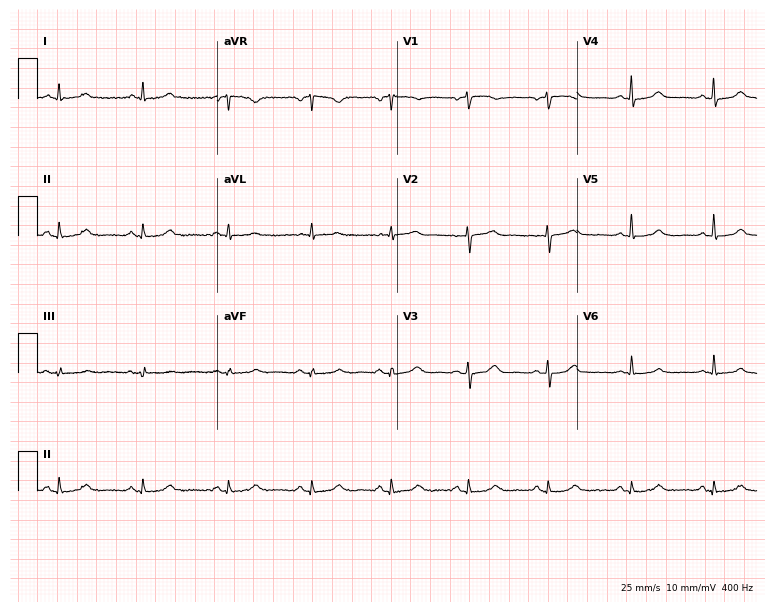
ECG — a 46-year-old female patient. Screened for six findings — first-degree AV block, right bundle branch block, left bundle branch block, sinus bradycardia, atrial fibrillation, sinus tachycardia — none is recorded.